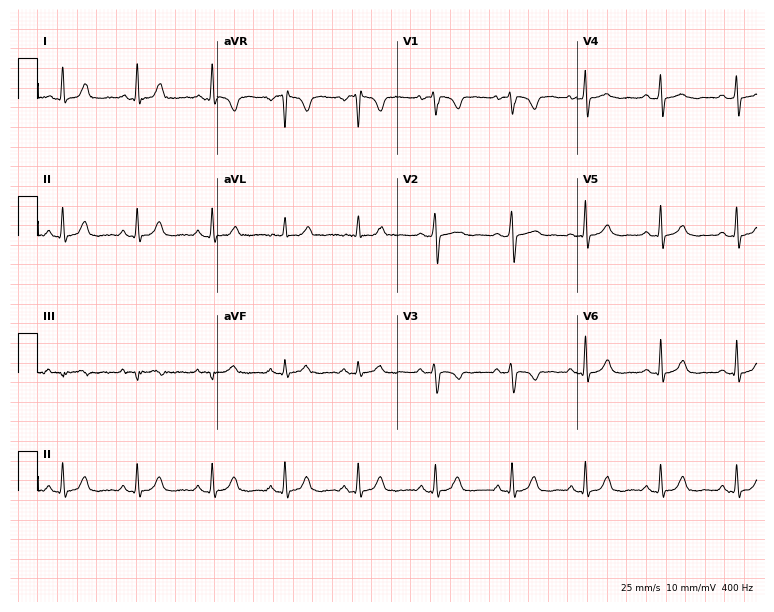
12-lead ECG from a 21-year-old female. Recorded interpretation: within normal limits.